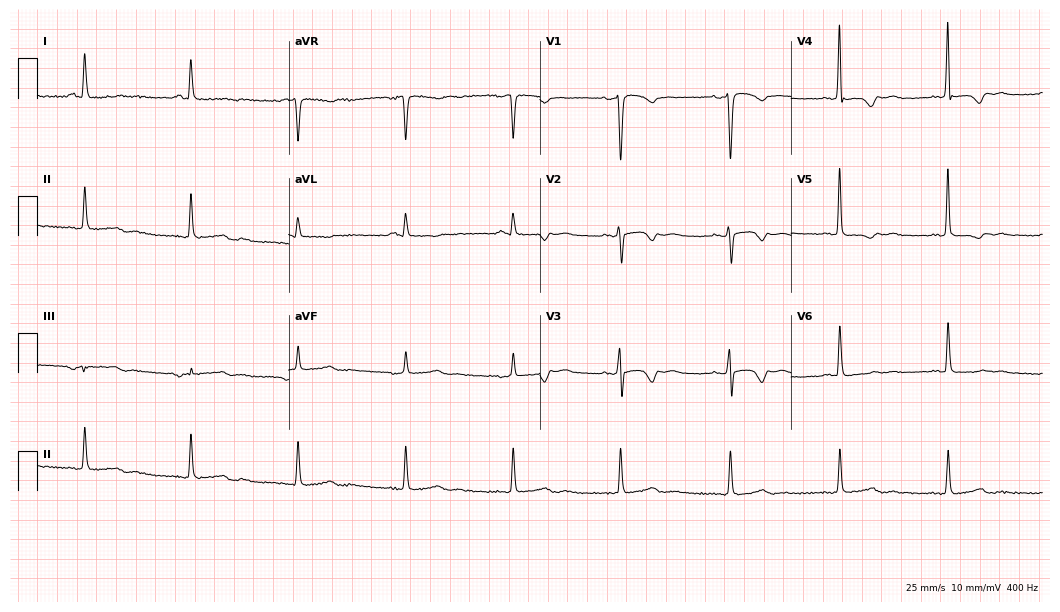
12-lead ECG from a female, 52 years old (10.2-second recording at 400 Hz). No first-degree AV block, right bundle branch block, left bundle branch block, sinus bradycardia, atrial fibrillation or sinus tachycardia recorded for this tracing.